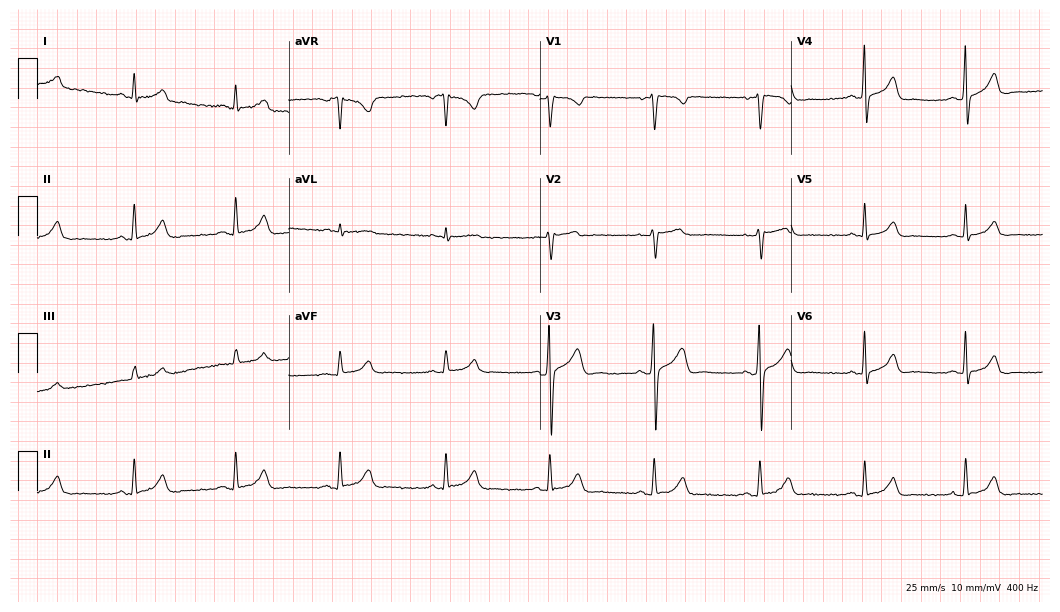
12-lead ECG from a male, 49 years old (10.2-second recording at 400 Hz). Recorded interpretation: within normal limits.